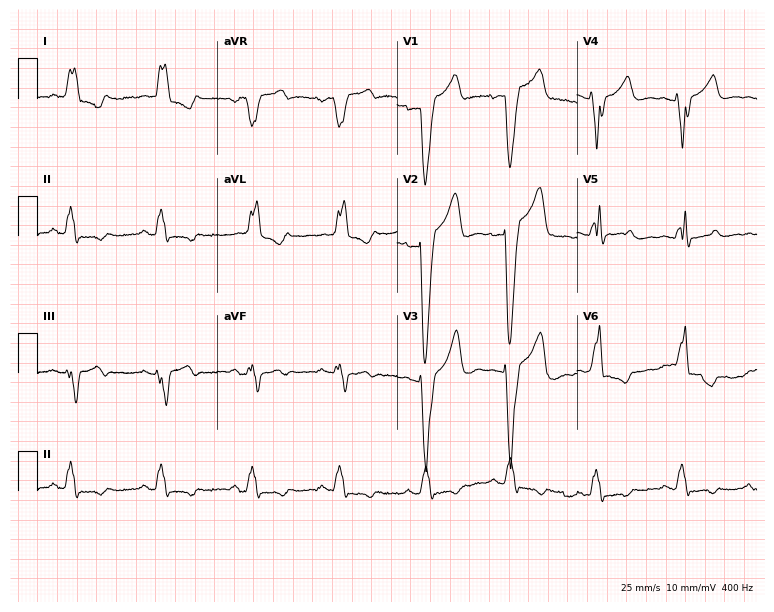
Electrocardiogram (7.3-second recording at 400 Hz), a 62-year-old female patient. Interpretation includes left bundle branch block.